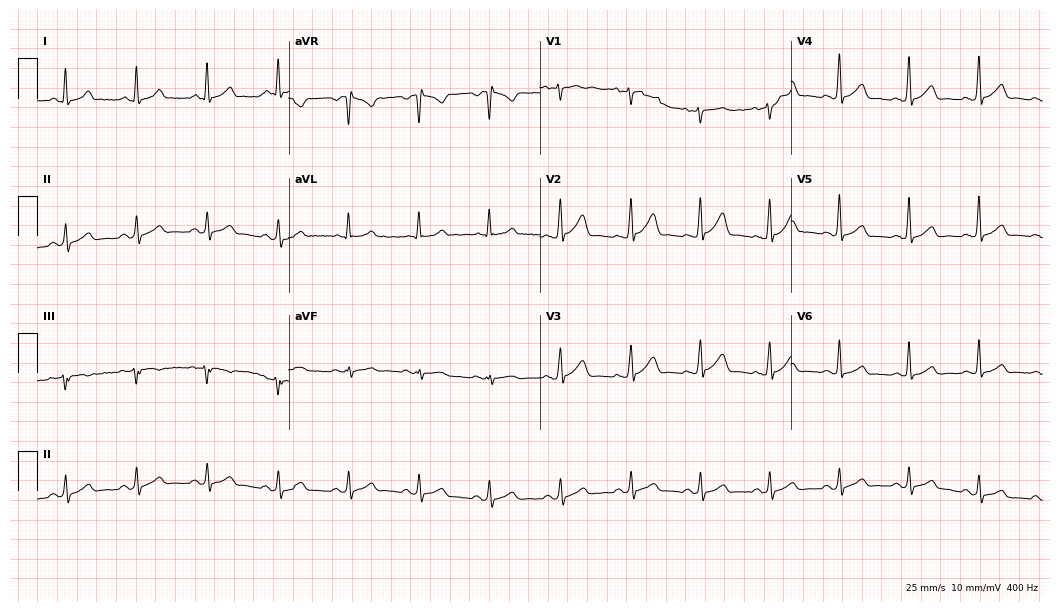
Electrocardiogram, a 45-year-old man. Overall reading on record: normal ECG.